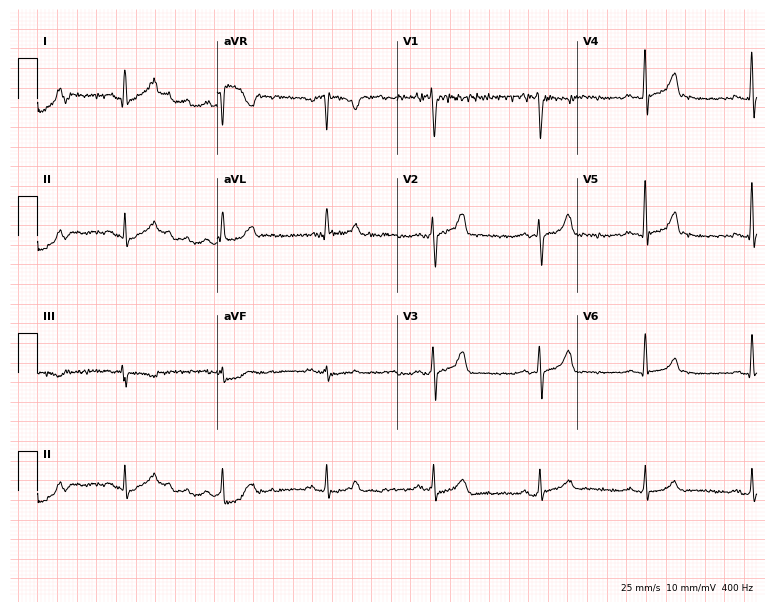
12-lead ECG (7.3-second recording at 400 Hz) from a male, 25 years old. Screened for six findings — first-degree AV block, right bundle branch block, left bundle branch block, sinus bradycardia, atrial fibrillation, sinus tachycardia — none is recorded. Other findings, if any, are not listed.